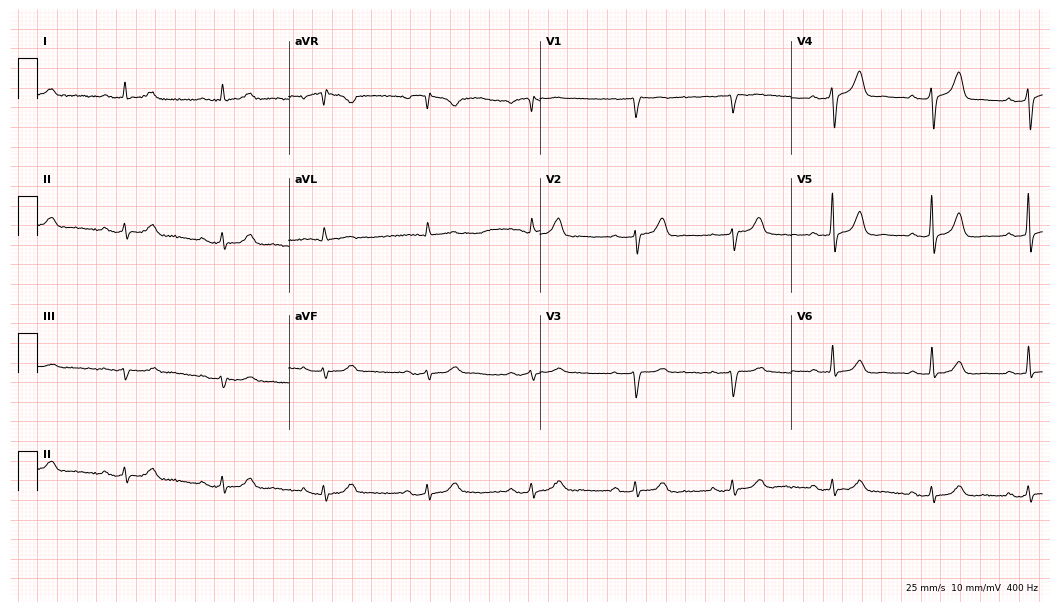
Resting 12-lead electrocardiogram (10.2-second recording at 400 Hz). Patient: a man, 70 years old. None of these six findings is recorded: first-degree AV block, right bundle branch block, left bundle branch block, sinus bradycardia, atrial fibrillation, sinus tachycardia.